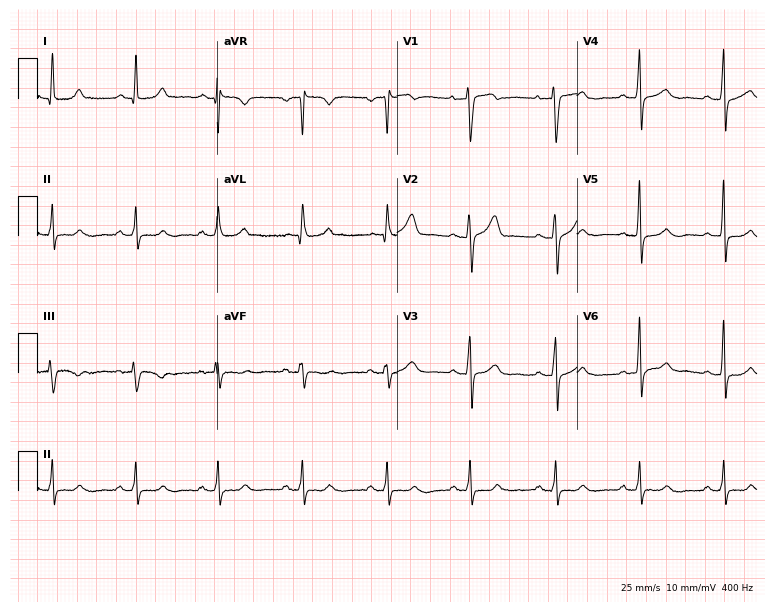
12-lead ECG from a 52-year-old male (7.3-second recording at 400 Hz). Recorded interpretation: within normal limits.